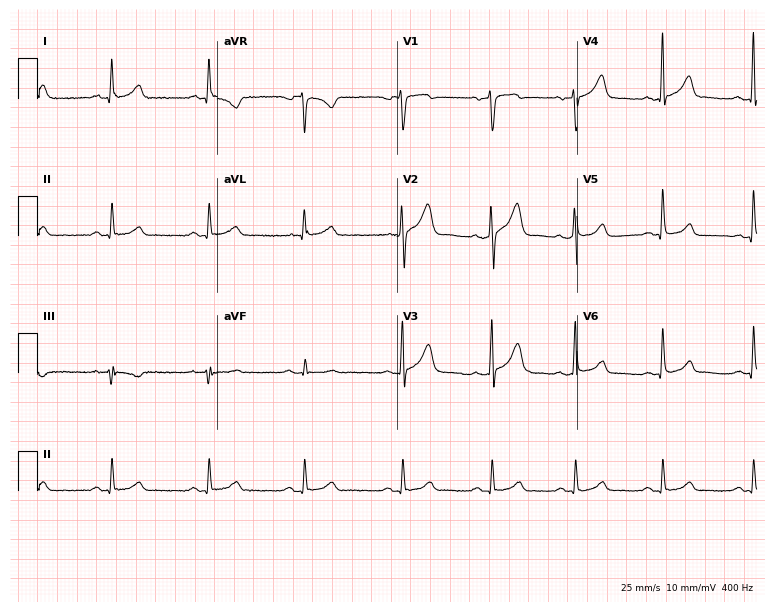
12-lead ECG (7.3-second recording at 400 Hz) from a male patient, 64 years old. Labelled as a normal ECG.